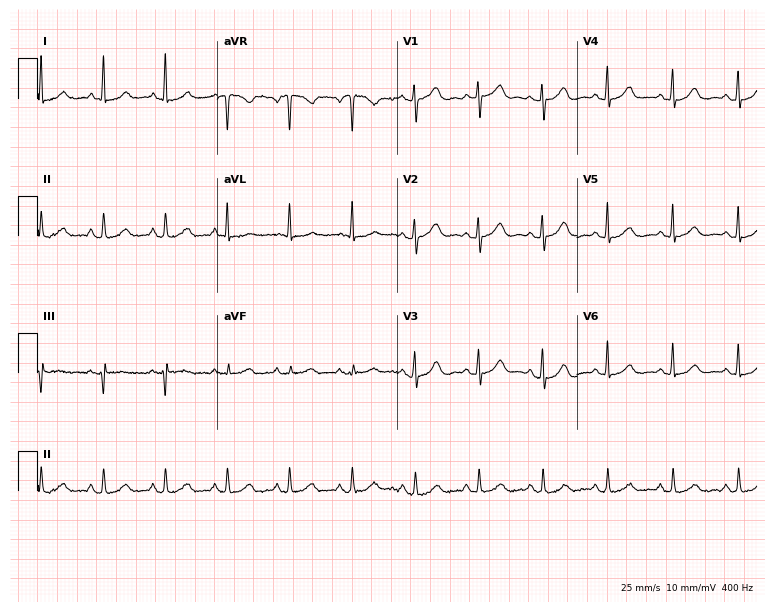
12-lead ECG from a woman, 67 years old (7.3-second recording at 400 Hz). Recorded interpretation: within normal limits.